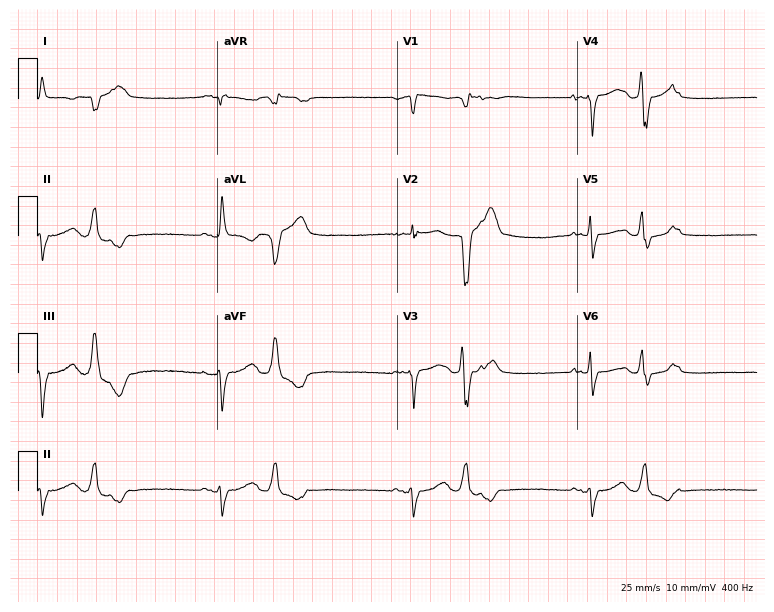
12-lead ECG from a male, 82 years old (7.3-second recording at 400 Hz). No first-degree AV block, right bundle branch block (RBBB), left bundle branch block (LBBB), sinus bradycardia, atrial fibrillation (AF) or sinus tachycardia recorded for this tracing. Only these six findings were labelled.